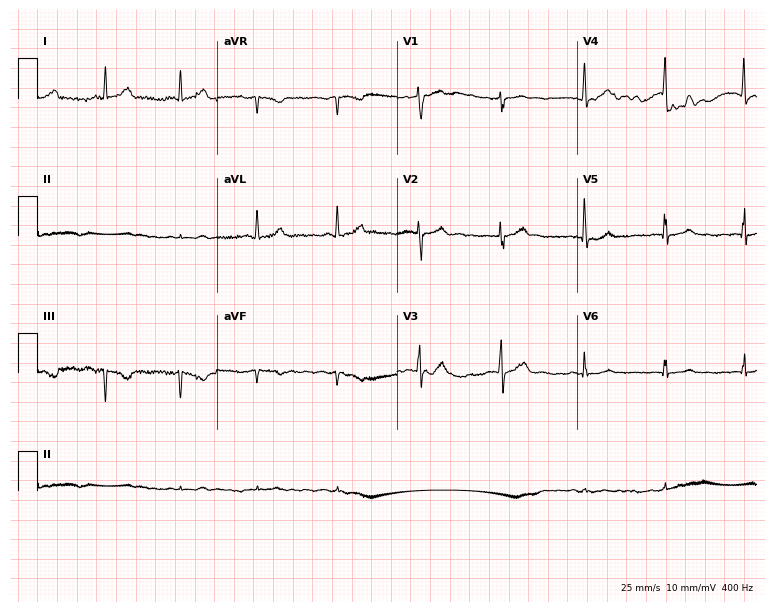
Standard 12-lead ECG recorded from a man, 32 years old (7.3-second recording at 400 Hz). None of these six findings is recorded: first-degree AV block, right bundle branch block (RBBB), left bundle branch block (LBBB), sinus bradycardia, atrial fibrillation (AF), sinus tachycardia. Other findings, if any, are not listed.